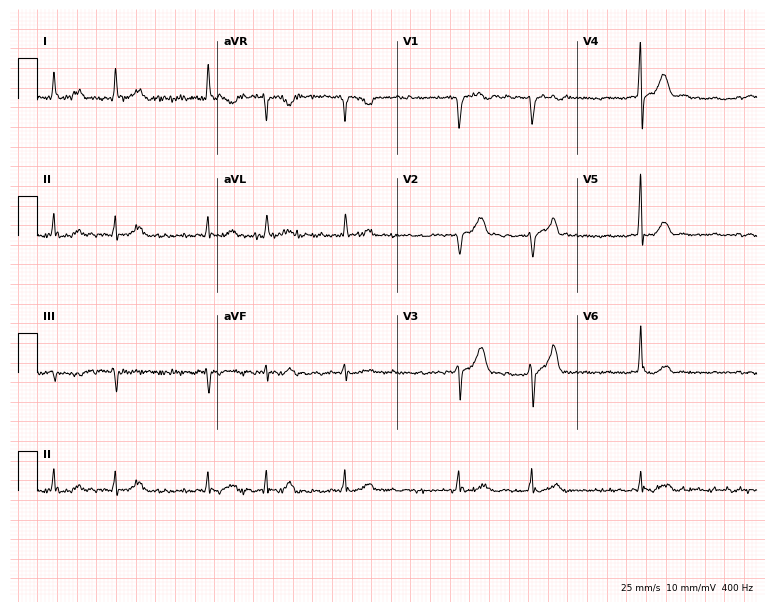
Standard 12-lead ECG recorded from a 57-year-old male patient. The tracing shows atrial fibrillation (AF).